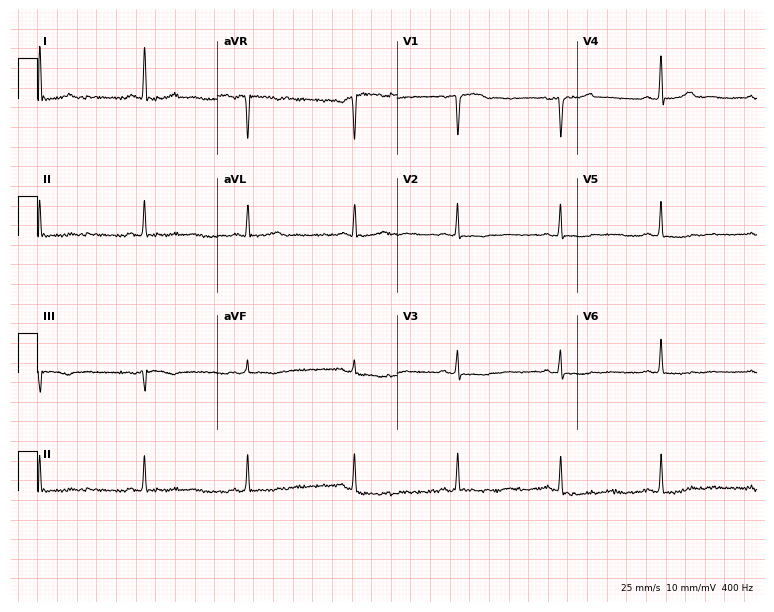
Standard 12-lead ECG recorded from a 51-year-old female (7.3-second recording at 400 Hz). None of these six findings is recorded: first-degree AV block, right bundle branch block, left bundle branch block, sinus bradycardia, atrial fibrillation, sinus tachycardia.